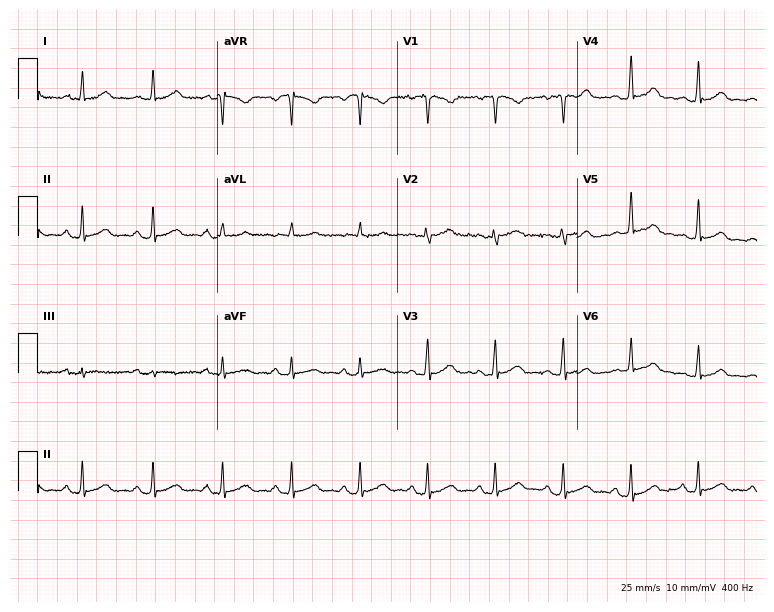
12-lead ECG (7.3-second recording at 400 Hz) from a 33-year-old female patient. Labelled as a normal ECG.